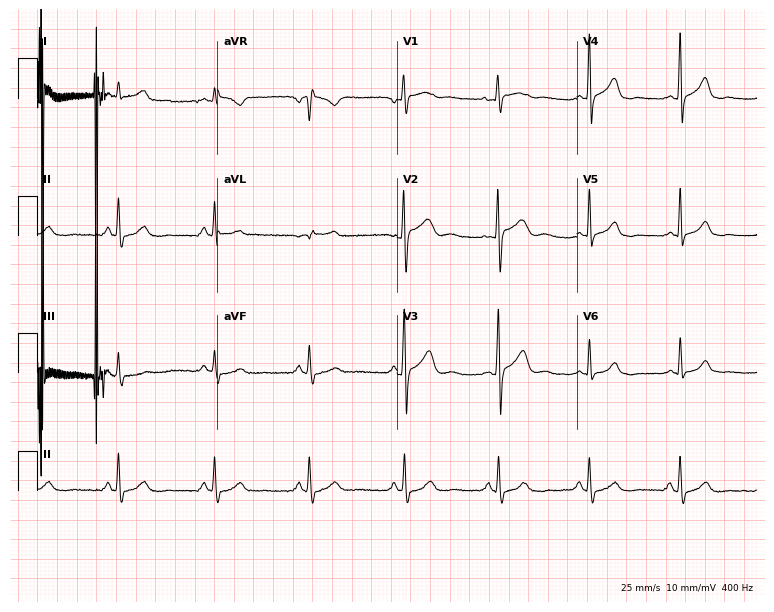
Standard 12-lead ECG recorded from a man, 41 years old (7.3-second recording at 400 Hz). None of these six findings is recorded: first-degree AV block, right bundle branch block, left bundle branch block, sinus bradycardia, atrial fibrillation, sinus tachycardia. Only these six findings were labelled.